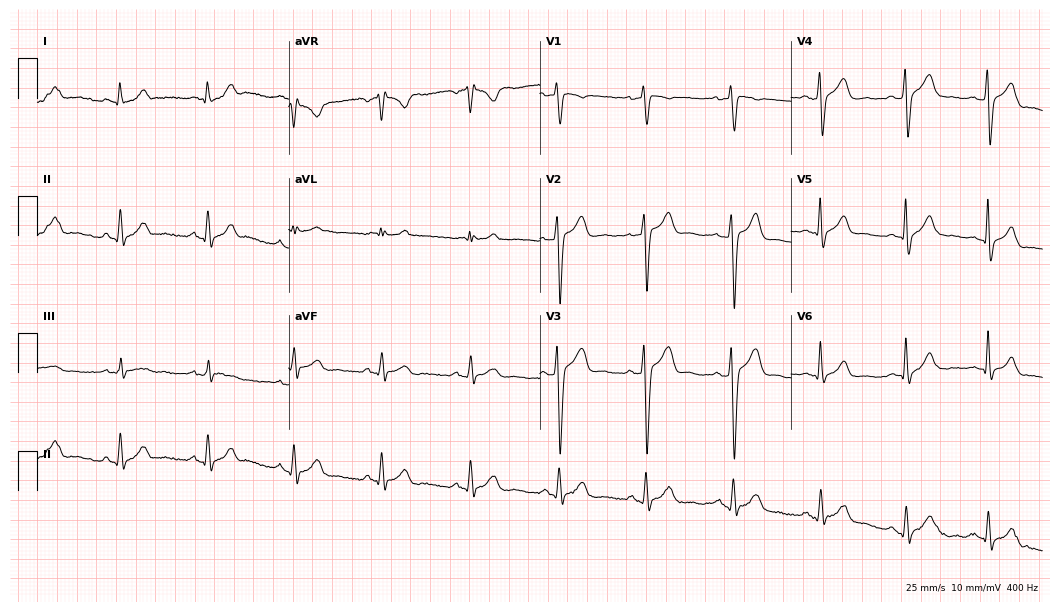
12-lead ECG from a man, 37 years old (10.2-second recording at 400 Hz). Recorded interpretation: within normal limits.